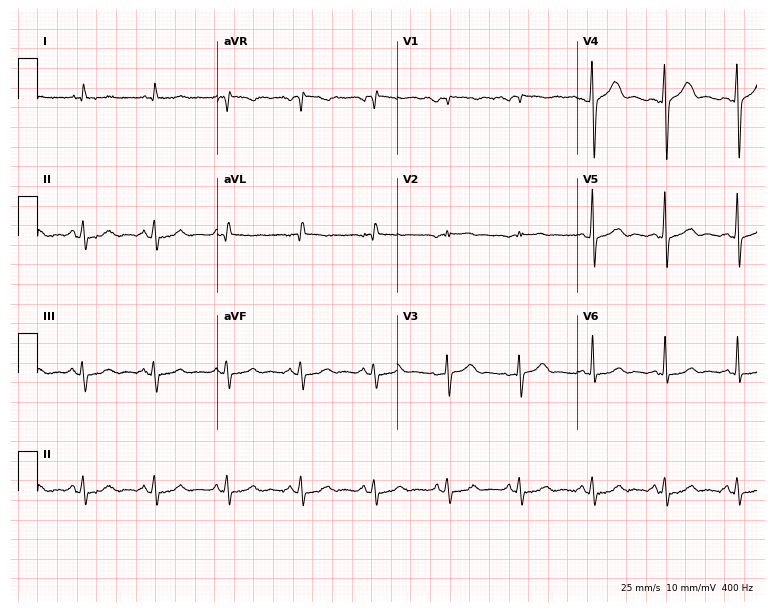
12-lead ECG from a 71-year-old man. No first-degree AV block, right bundle branch block, left bundle branch block, sinus bradycardia, atrial fibrillation or sinus tachycardia recorded for this tracing.